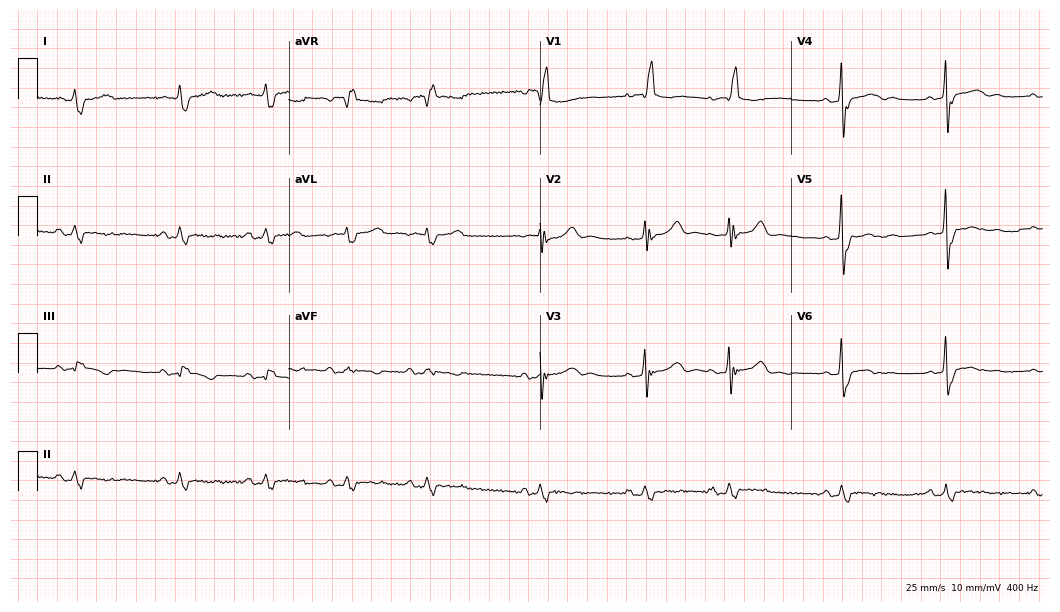
ECG (10.2-second recording at 400 Hz) — a female, 76 years old. Findings include right bundle branch block (RBBB).